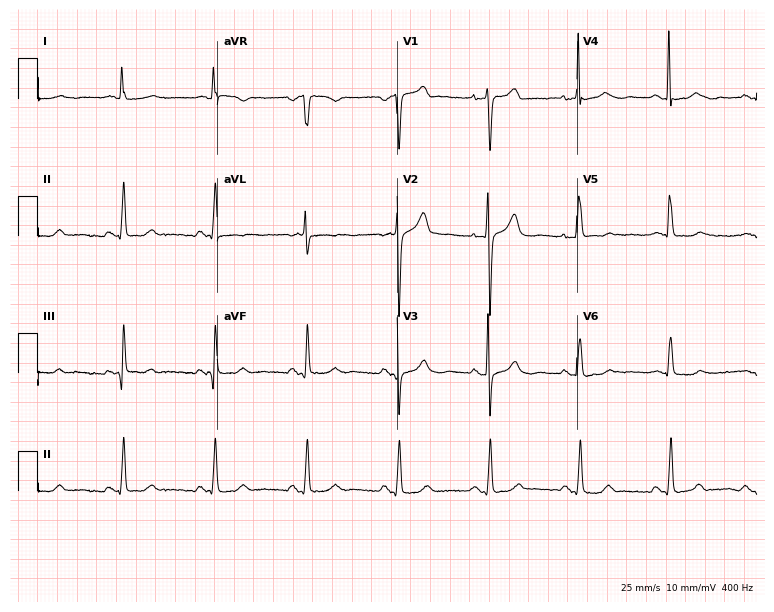
Resting 12-lead electrocardiogram. Patient: a female, 70 years old. None of these six findings is recorded: first-degree AV block, right bundle branch block (RBBB), left bundle branch block (LBBB), sinus bradycardia, atrial fibrillation (AF), sinus tachycardia. Only these six findings were labelled.